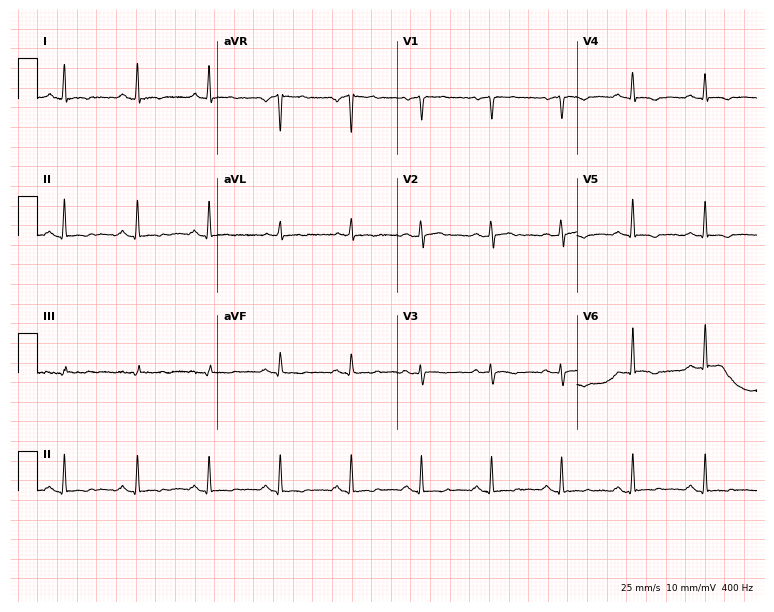
Electrocardiogram (7.3-second recording at 400 Hz), a male, 42 years old. Of the six screened findings (first-degree AV block, right bundle branch block (RBBB), left bundle branch block (LBBB), sinus bradycardia, atrial fibrillation (AF), sinus tachycardia), none is recorded. Other findings, if any, are not listed.